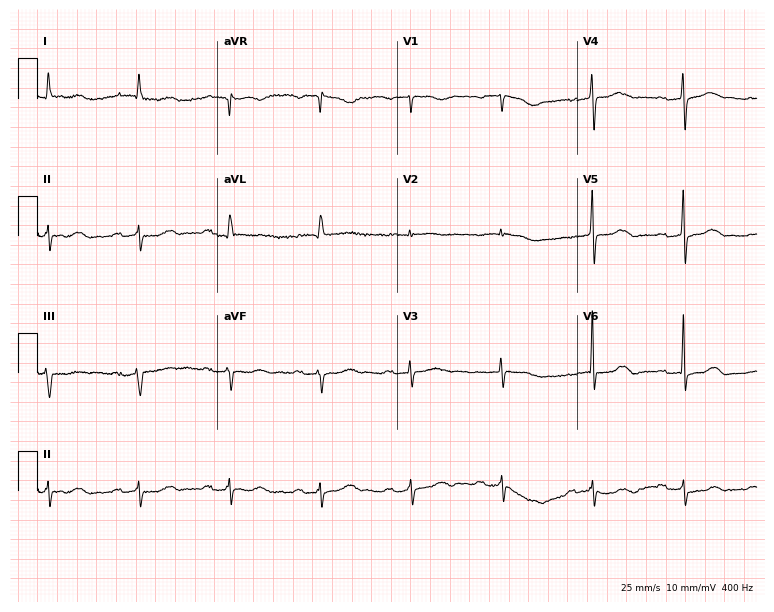
Standard 12-lead ECG recorded from a female patient, 78 years old. The tracing shows first-degree AV block.